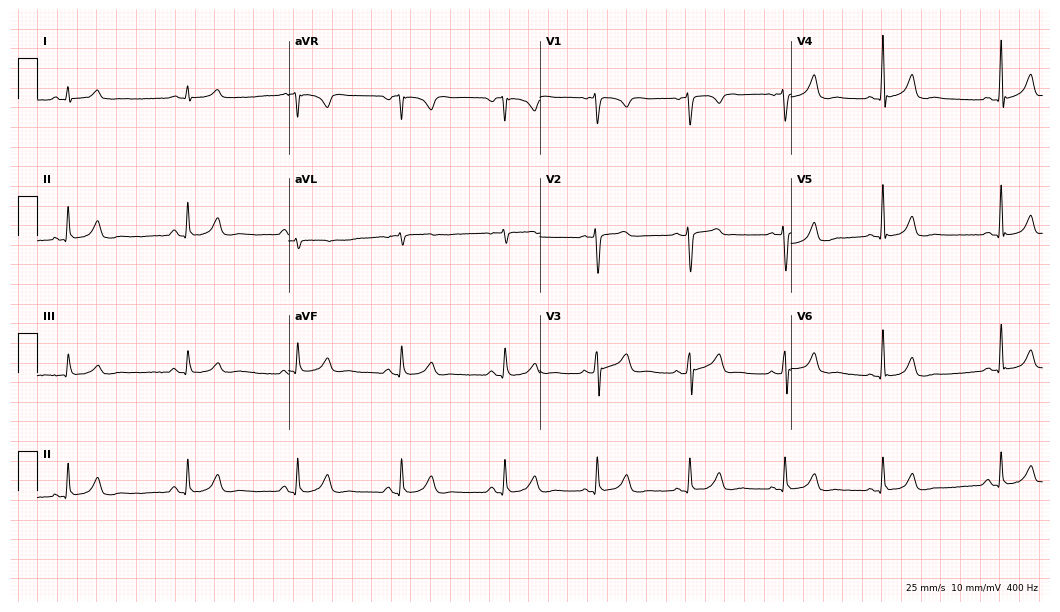
Resting 12-lead electrocardiogram. Patient: a male, 43 years old. None of these six findings is recorded: first-degree AV block, right bundle branch block, left bundle branch block, sinus bradycardia, atrial fibrillation, sinus tachycardia.